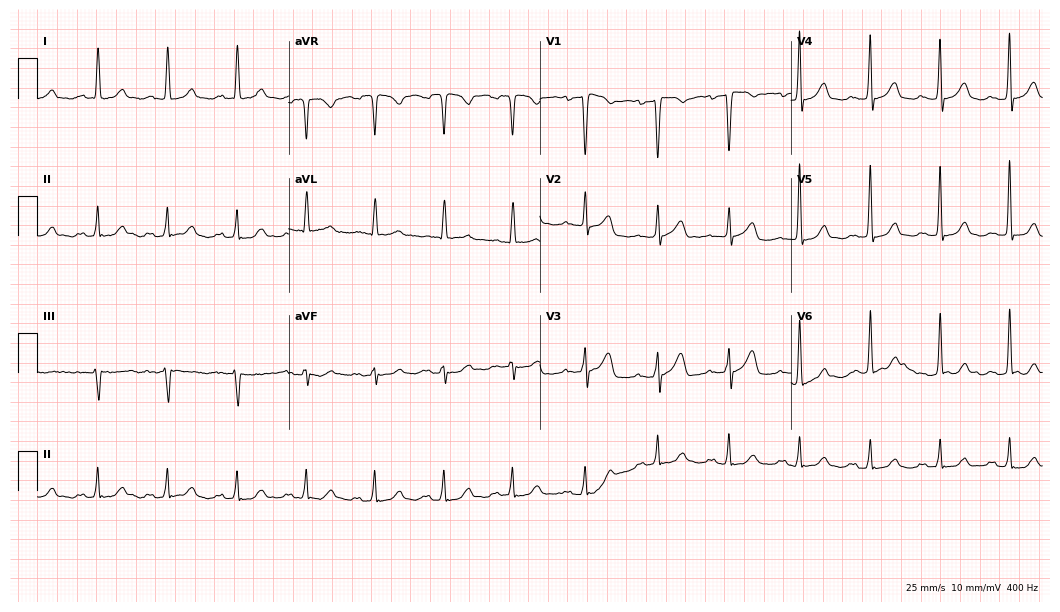
Standard 12-lead ECG recorded from a 72-year-old female patient (10.2-second recording at 400 Hz). None of these six findings is recorded: first-degree AV block, right bundle branch block, left bundle branch block, sinus bradycardia, atrial fibrillation, sinus tachycardia. Other findings, if any, are not listed.